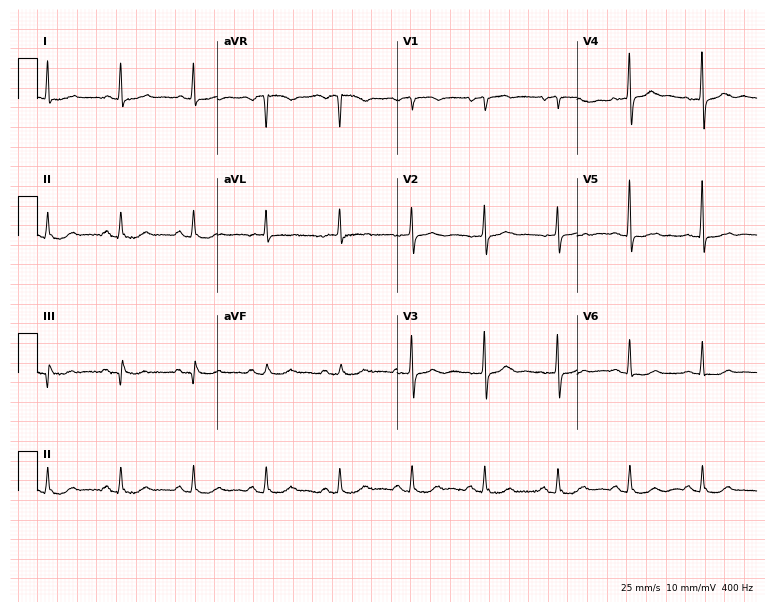
Standard 12-lead ECG recorded from an 80-year-old female patient. Read as a normal ECG.